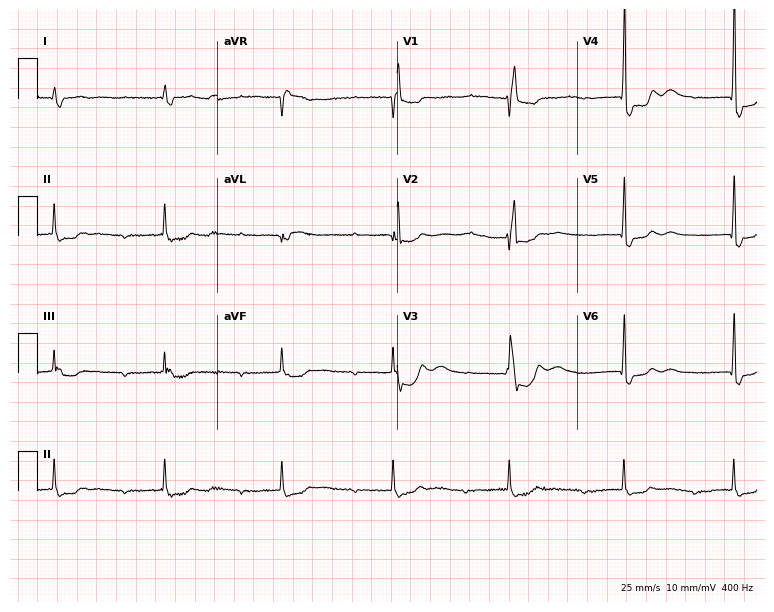
Electrocardiogram (7.3-second recording at 400 Hz), a 78-year-old man. Interpretation includes first-degree AV block, right bundle branch block (RBBB).